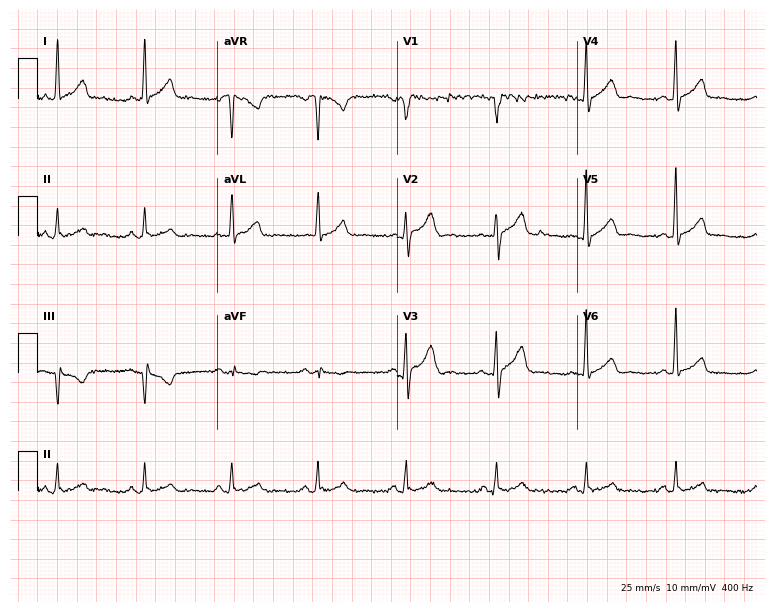
ECG — a 47-year-old male. Labelled as a normal ECG.